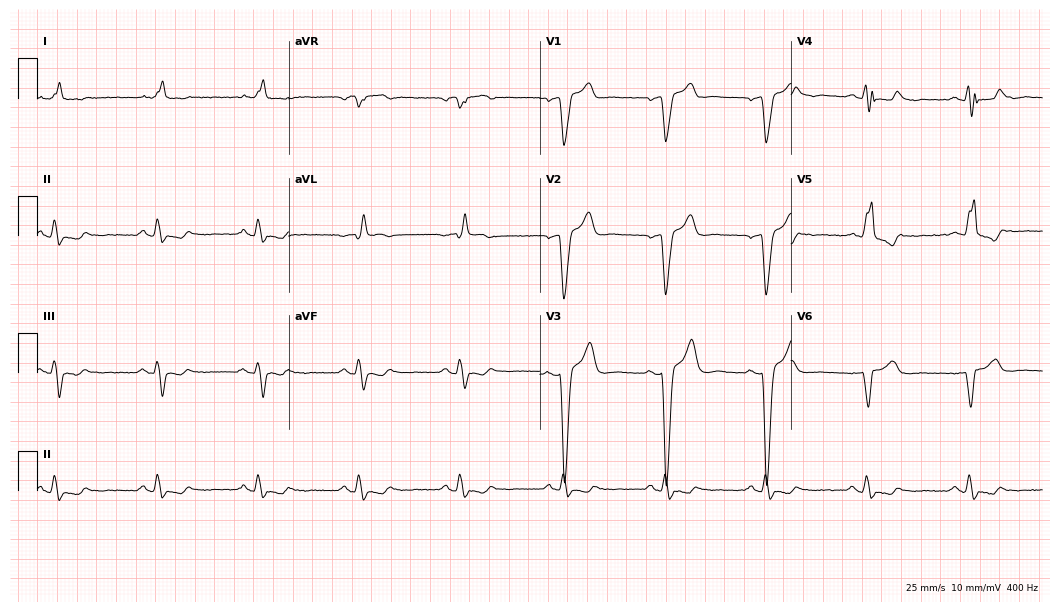
Electrocardiogram (10.2-second recording at 400 Hz), a 68-year-old male. Of the six screened findings (first-degree AV block, right bundle branch block, left bundle branch block, sinus bradycardia, atrial fibrillation, sinus tachycardia), none is recorded. Other findings, if any, are not listed.